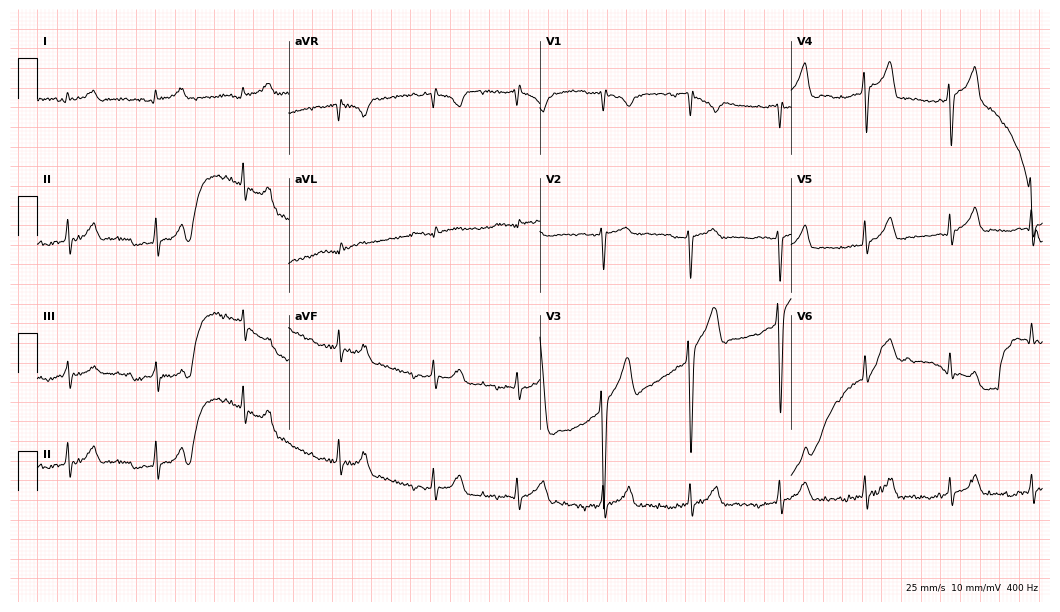
12-lead ECG from a man, 19 years old. Recorded interpretation: within normal limits.